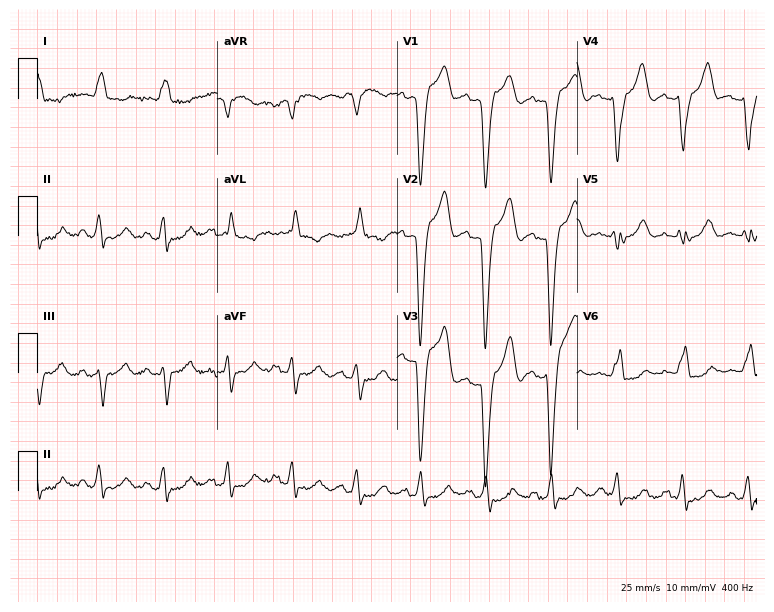
12-lead ECG from a 69-year-old female (7.3-second recording at 400 Hz). Shows left bundle branch block (LBBB).